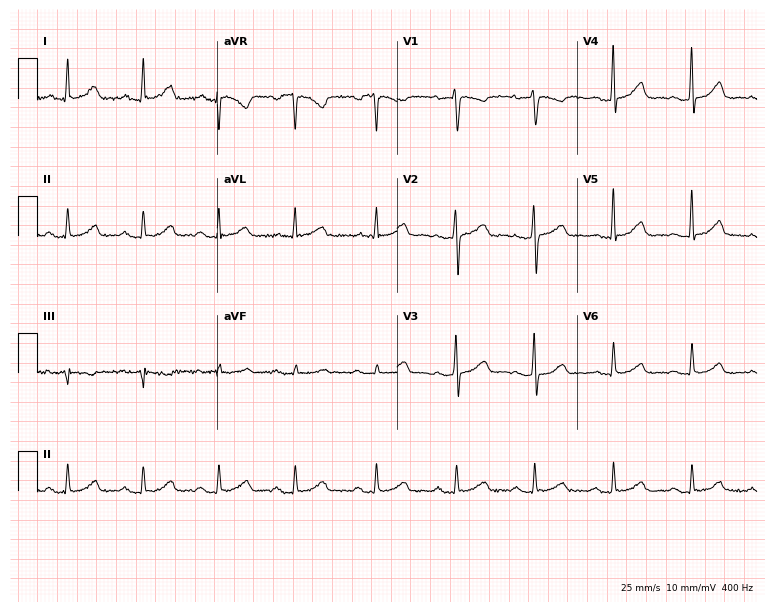
ECG (7.3-second recording at 400 Hz) — a 54-year-old female patient. Screened for six findings — first-degree AV block, right bundle branch block, left bundle branch block, sinus bradycardia, atrial fibrillation, sinus tachycardia — none is recorded.